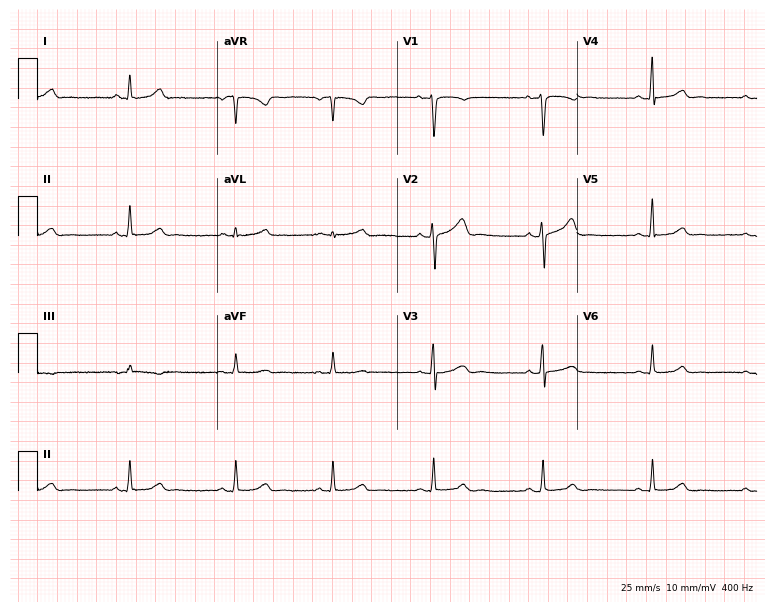
Resting 12-lead electrocardiogram (7.3-second recording at 400 Hz). Patient: a woman, 42 years old. Read as a normal ECG.